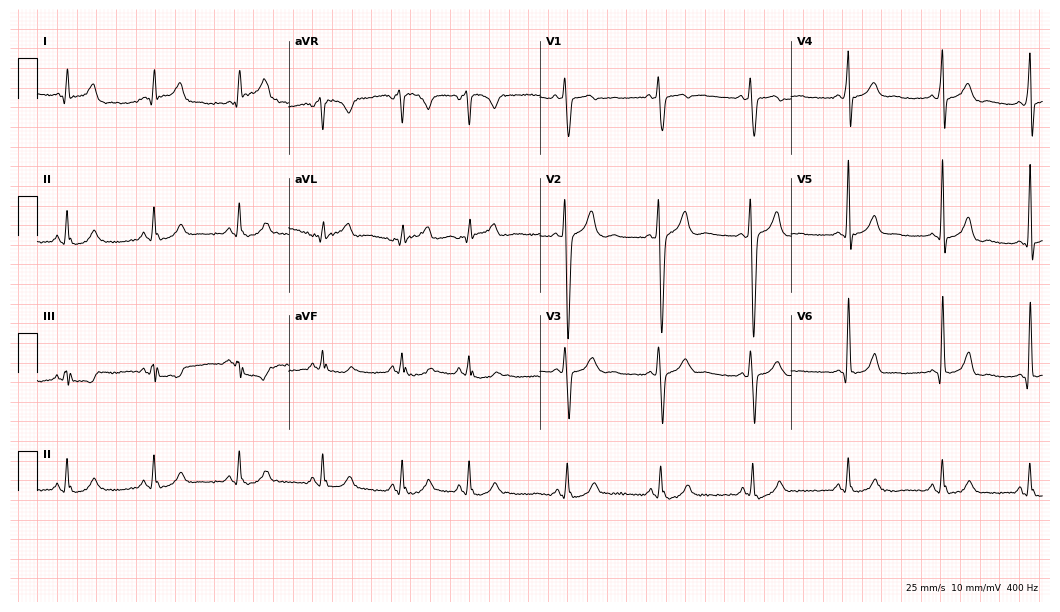
12-lead ECG from a 20-year-old man. Screened for six findings — first-degree AV block, right bundle branch block, left bundle branch block, sinus bradycardia, atrial fibrillation, sinus tachycardia — none is recorded.